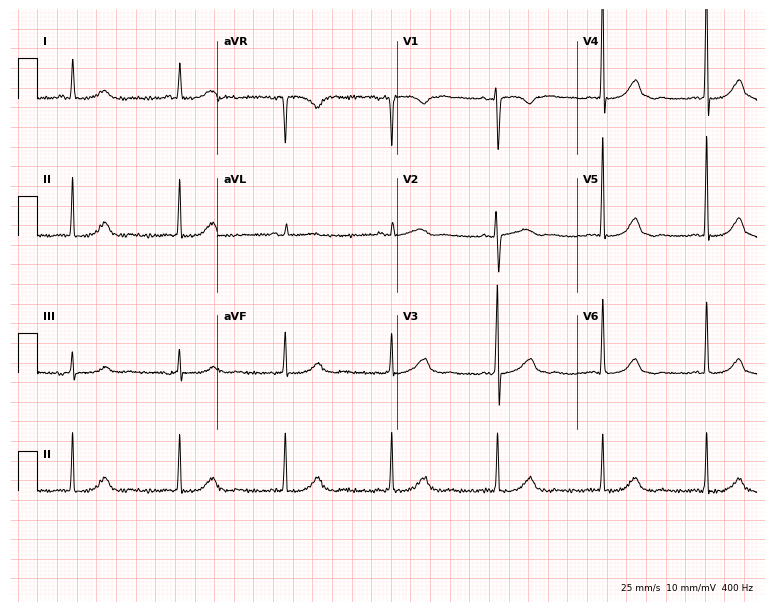
12-lead ECG (7.3-second recording at 400 Hz) from a female patient, 48 years old. Labelled as a normal ECG.